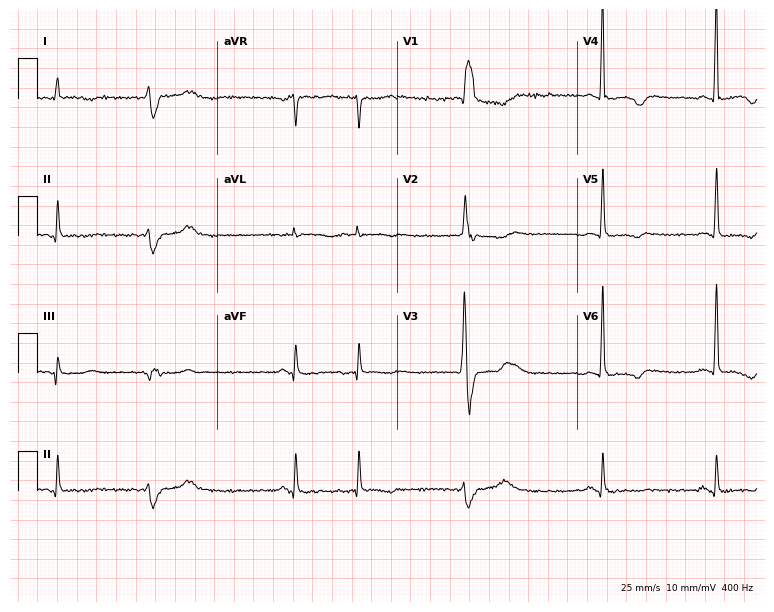
ECG (7.3-second recording at 400 Hz) — a 77-year-old man. Screened for six findings — first-degree AV block, right bundle branch block (RBBB), left bundle branch block (LBBB), sinus bradycardia, atrial fibrillation (AF), sinus tachycardia — none is recorded.